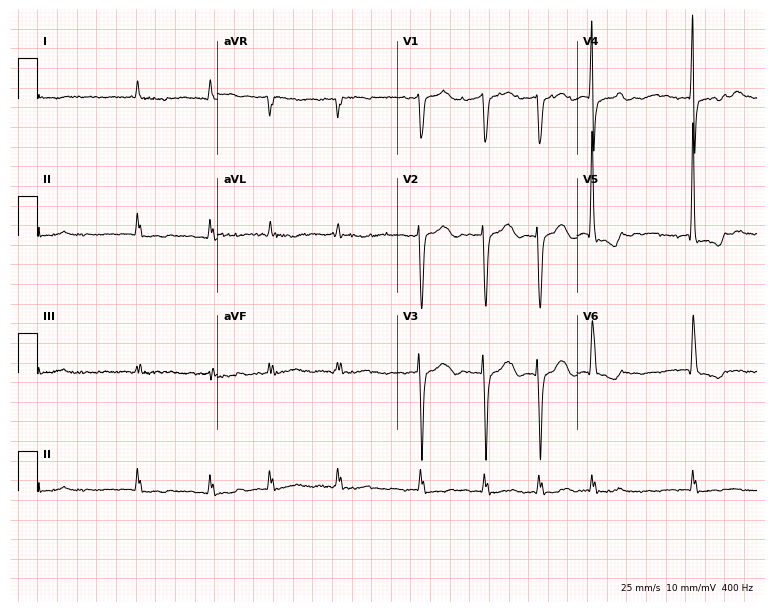
Standard 12-lead ECG recorded from a male, 84 years old (7.3-second recording at 400 Hz). The tracing shows atrial fibrillation (AF).